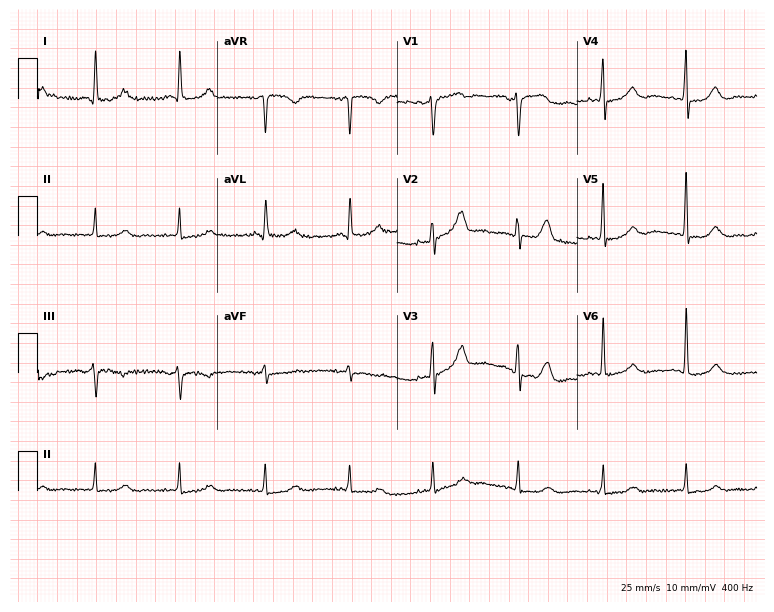
ECG (7.3-second recording at 400 Hz) — a female, 71 years old. Labelled as a normal ECG.